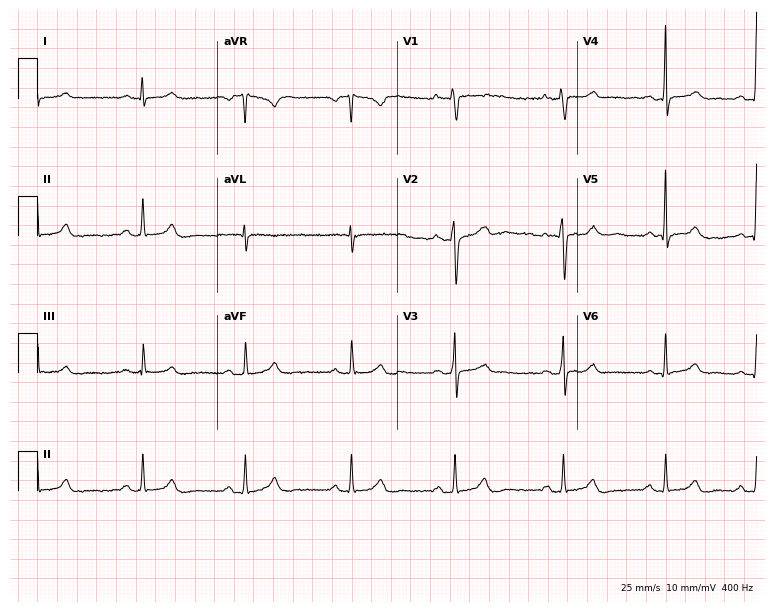
12-lead ECG from a female patient, 27 years old (7.3-second recording at 400 Hz). No first-degree AV block, right bundle branch block, left bundle branch block, sinus bradycardia, atrial fibrillation or sinus tachycardia recorded for this tracing. Other findings, if any, are not listed.